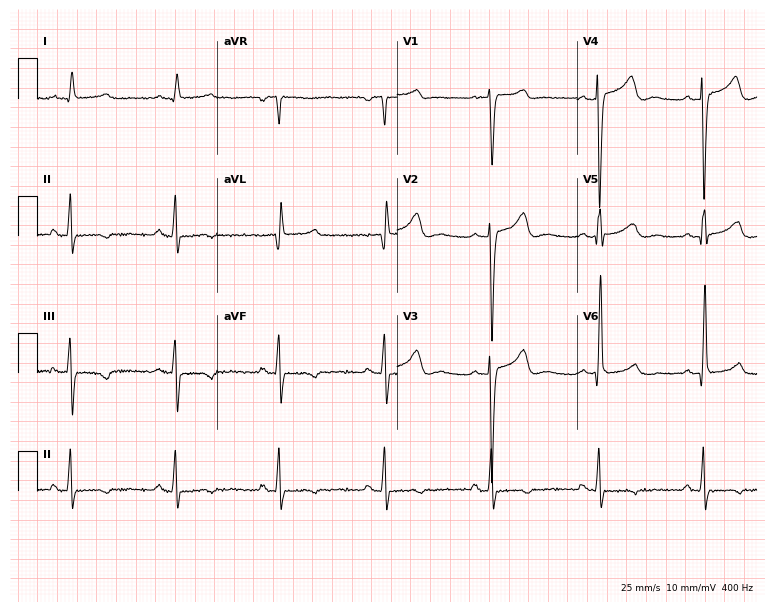
12-lead ECG from a male patient, 55 years old (7.3-second recording at 400 Hz). Recorded interpretation: within normal limits.